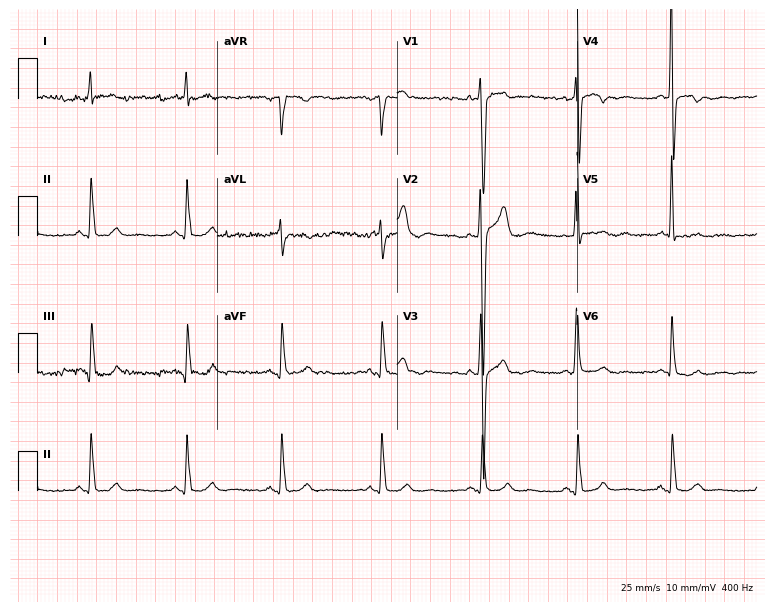
12-lead ECG from a 31-year-old male patient. Screened for six findings — first-degree AV block, right bundle branch block (RBBB), left bundle branch block (LBBB), sinus bradycardia, atrial fibrillation (AF), sinus tachycardia — none is recorded. Only these six findings were labelled.